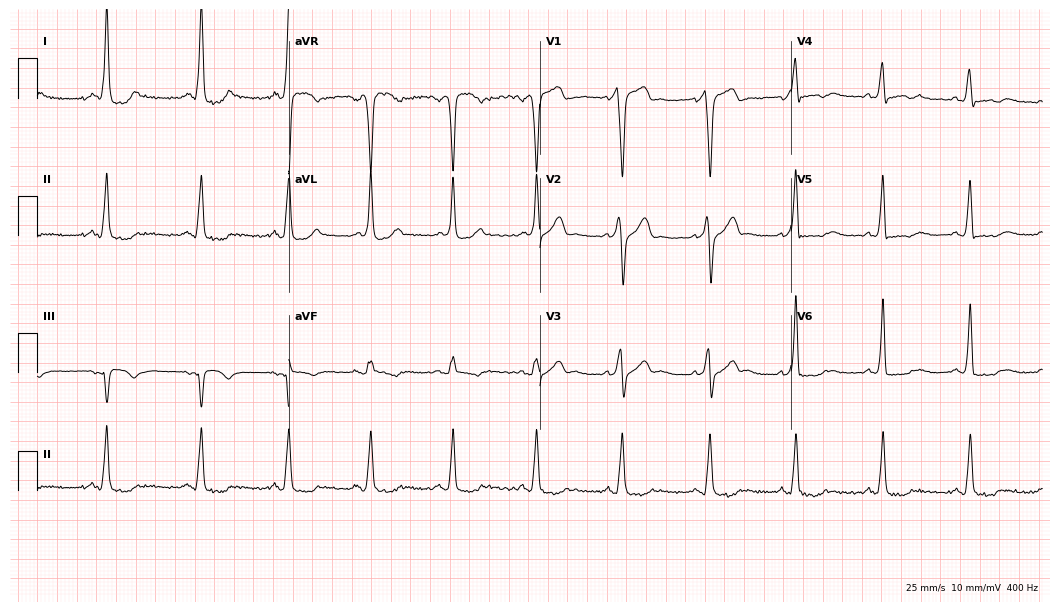
Electrocardiogram, a 34-year-old man. Interpretation includes left bundle branch block.